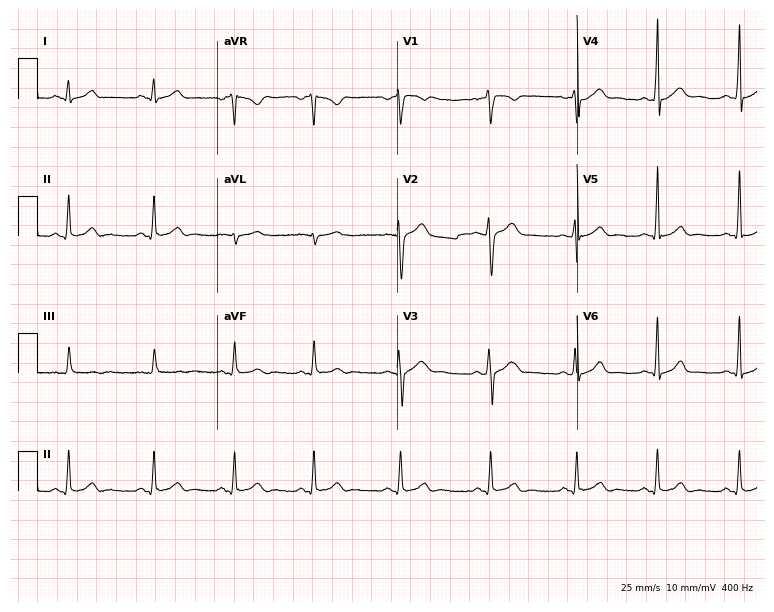
Resting 12-lead electrocardiogram (7.3-second recording at 400 Hz). Patient: a 24-year-old male. Read as a normal ECG.